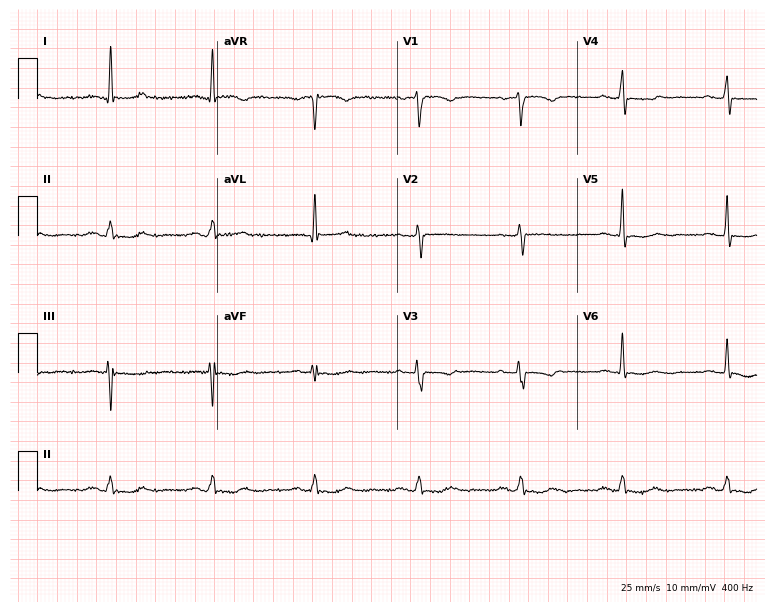
Resting 12-lead electrocardiogram (7.3-second recording at 400 Hz). Patient: a female, 57 years old. None of these six findings is recorded: first-degree AV block, right bundle branch block, left bundle branch block, sinus bradycardia, atrial fibrillation, sinus tachycardia.